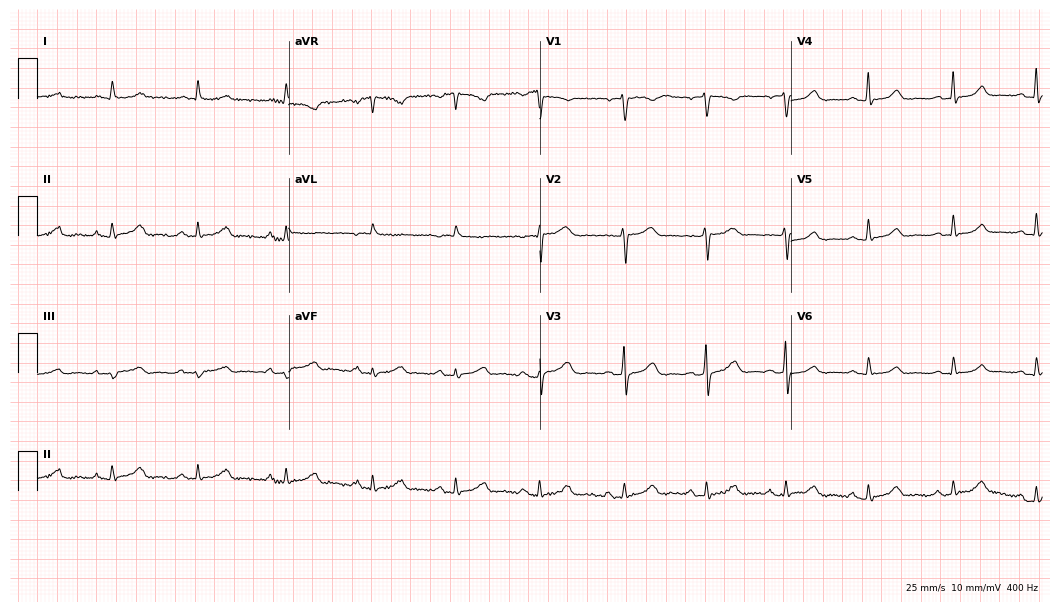
Electrocardiogram, a female patient, 42 years old. Overall reading on record: normal ECG.